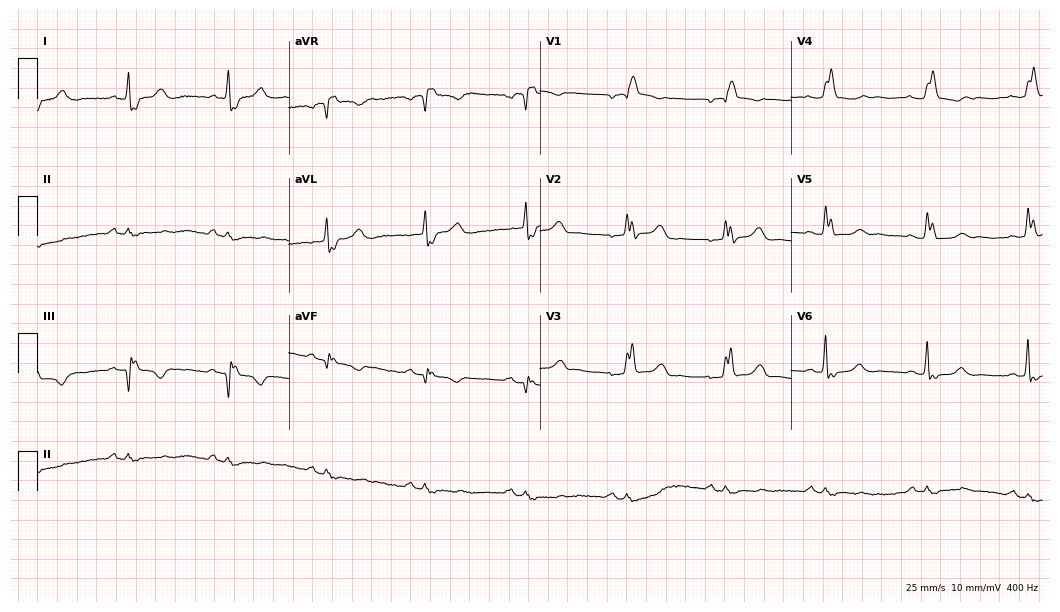
Standard 12-lead ECG recorded from a 70-year-old female. The tracing shows right bundle branch block.